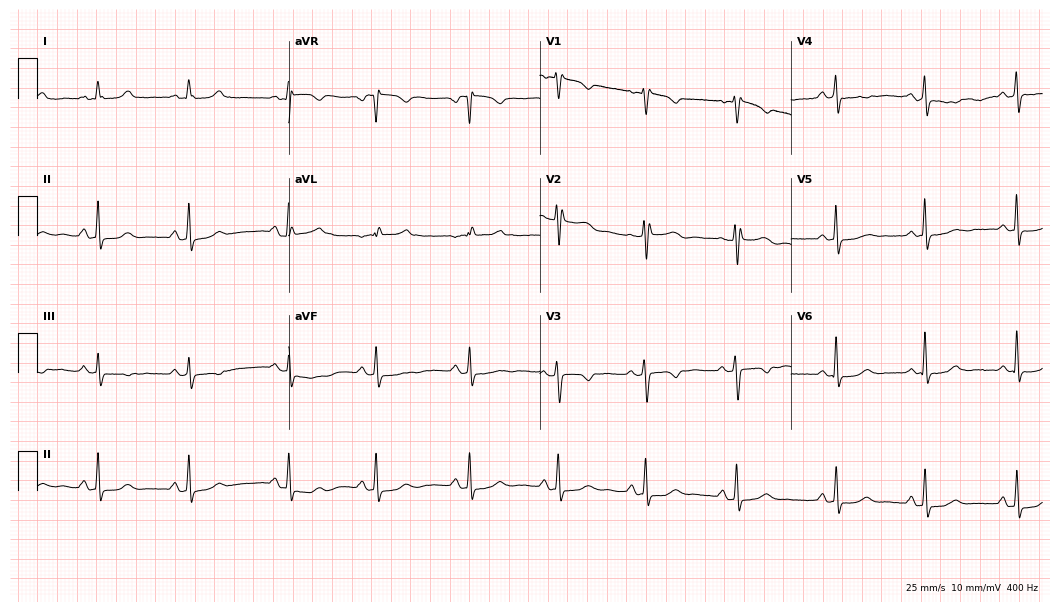
Resting 12-lead electrocardiogram. Patient: a 38-year-old female. None of these six findings is recorded: first-degree AV block, right bundle branch block, left bundle branch block, sinus bradycardia, atrial fibrillation, sinus tachycardia.